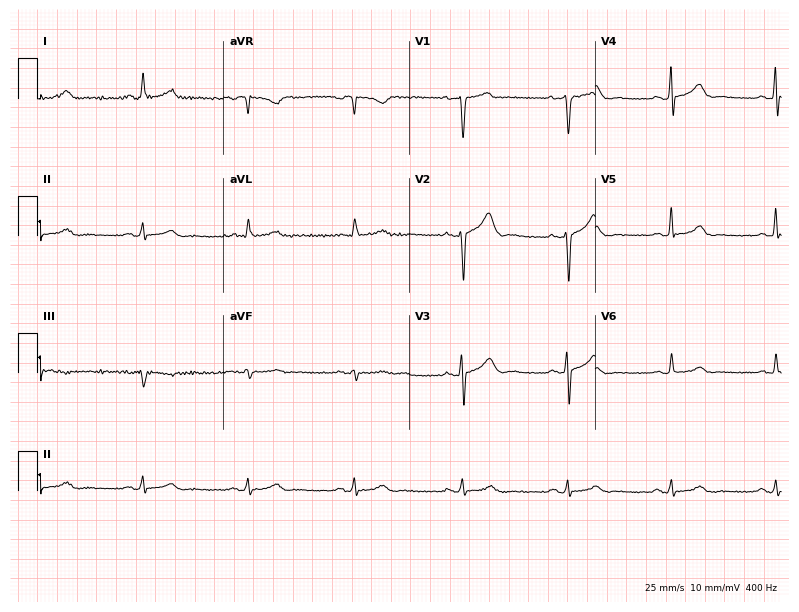
12-lead ECG from a 46-year-old man (7.6-second recording at 400 Hz). Recorded interpretation: within normal limits.